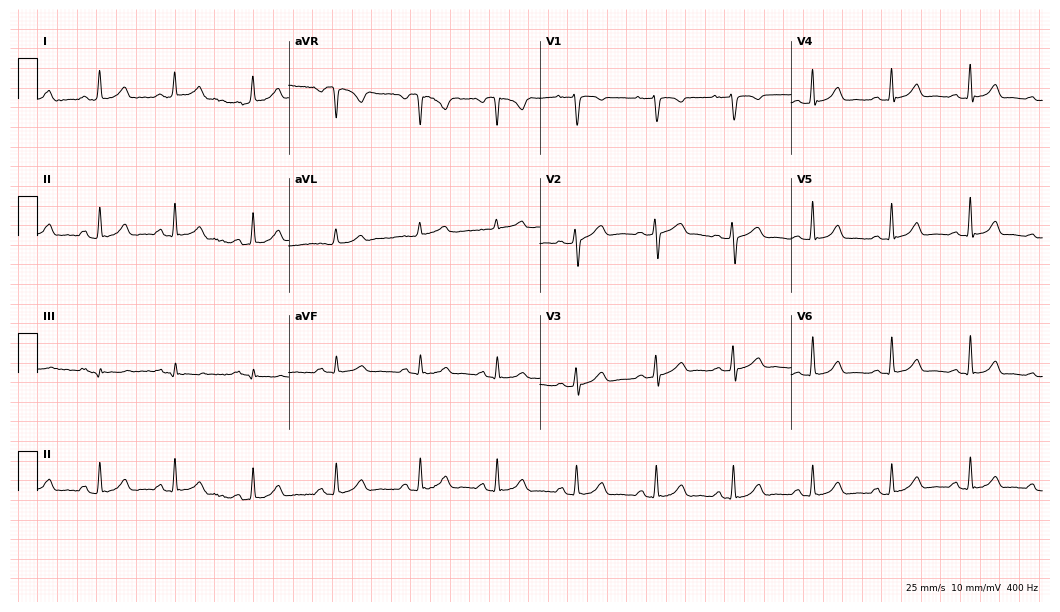
Electrocardiogram (10.2-second recording at 400 Hz), a 27-year-old woman. Overall reading on record: normal ECG.